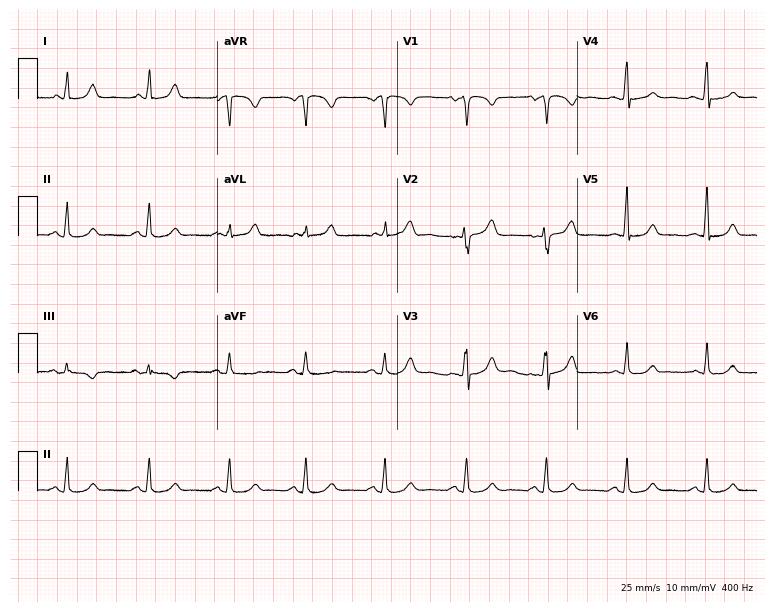
ECG — a 36-year-old female. Labelled as a normal ECG.